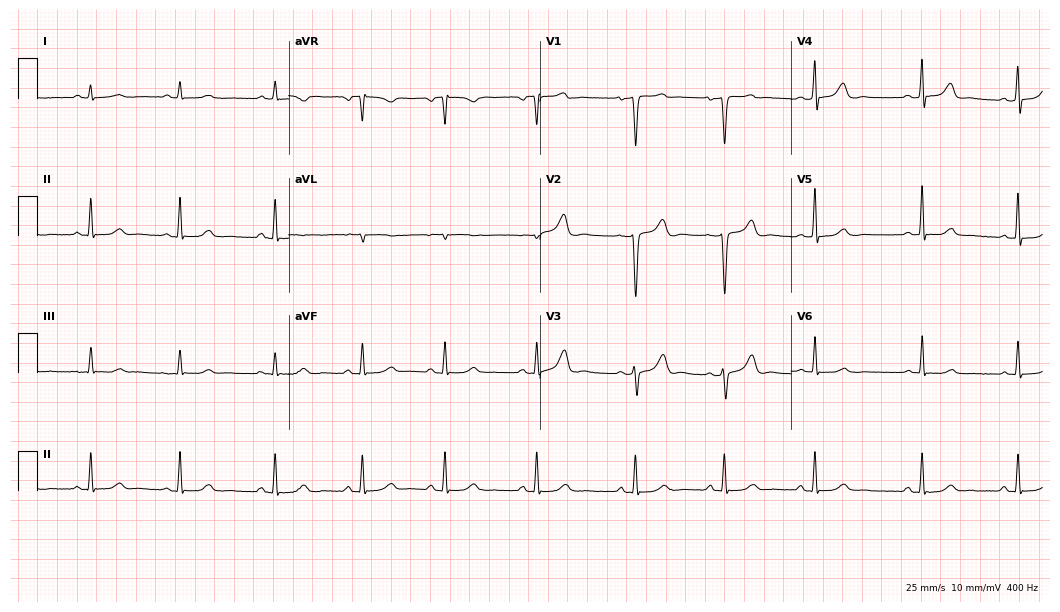
Resting 12-lead electrocardiogram. Patient: a woman, 47 years old. Read as a normal ECG.